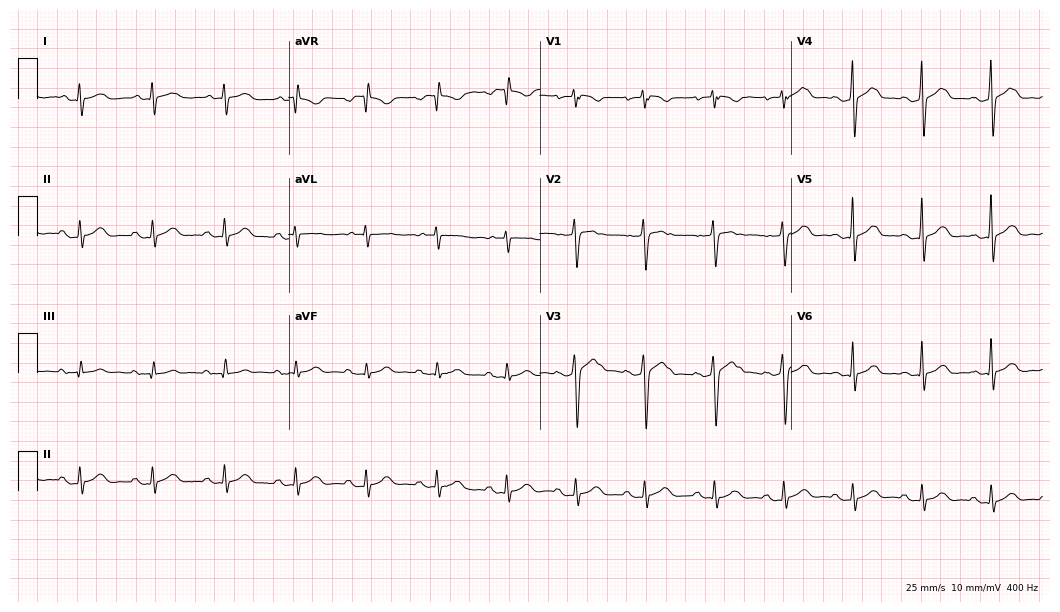
Resting 12-lead electrocardiogram. Patient: a male, 40 years old. Read as a normal ECG.